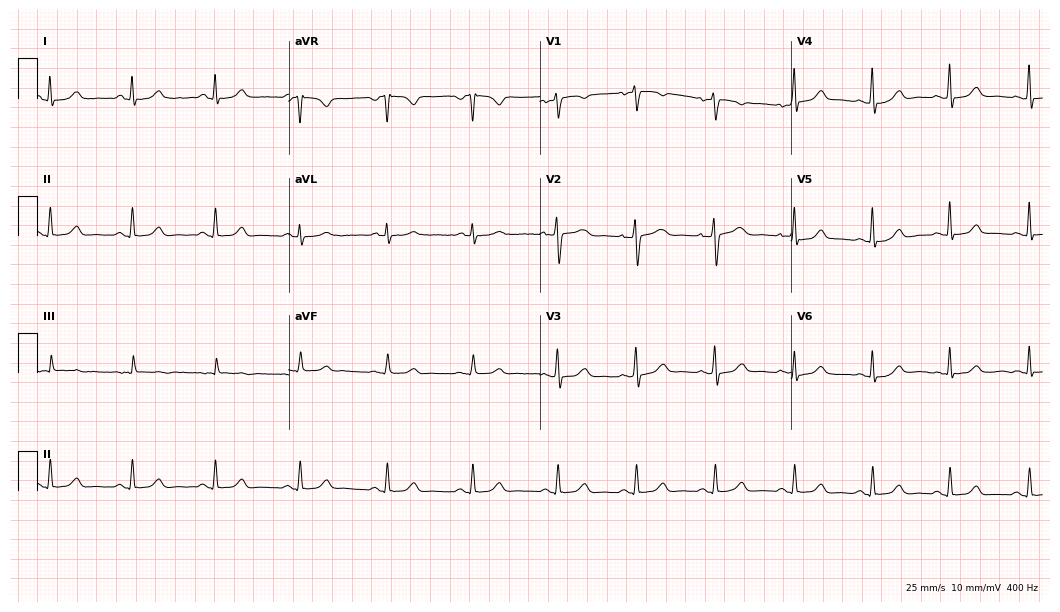
12-lead ECG from a female patient, 40 years old. Recorded interpretation: within normal limits.